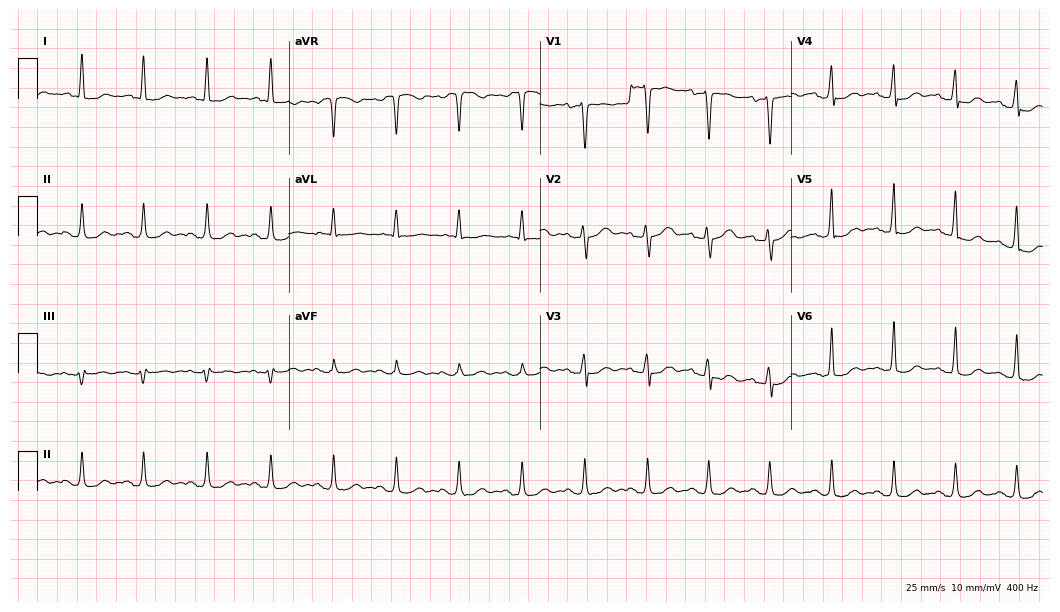
Standard 12-lead ECG recorded from a 53-year-old male. None of these six findings is recorded: first-degree AV block, right bundle branch block, left bundle branch block, sinus bradycardia, atrial fibrillation, sinus tachycardia.